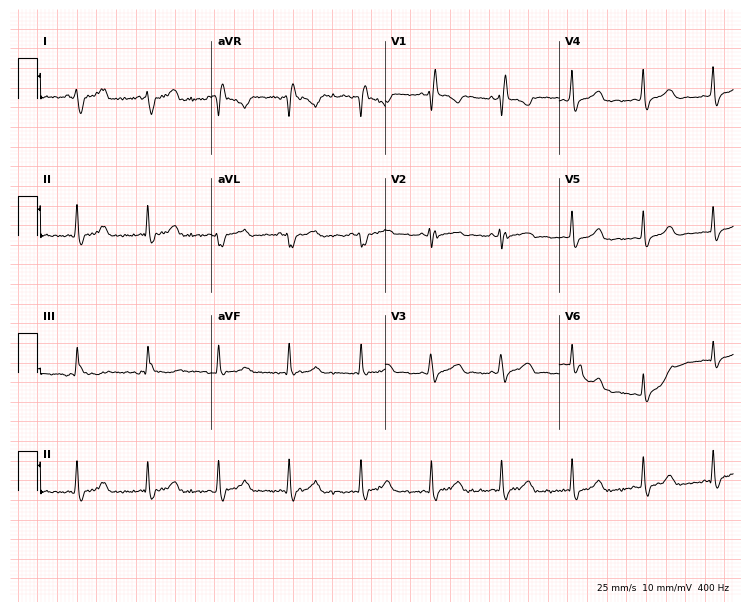
Standard 12-lead ECG recorded from a 25-year-old female. The tracing shows right bundle branch block (RBBB).